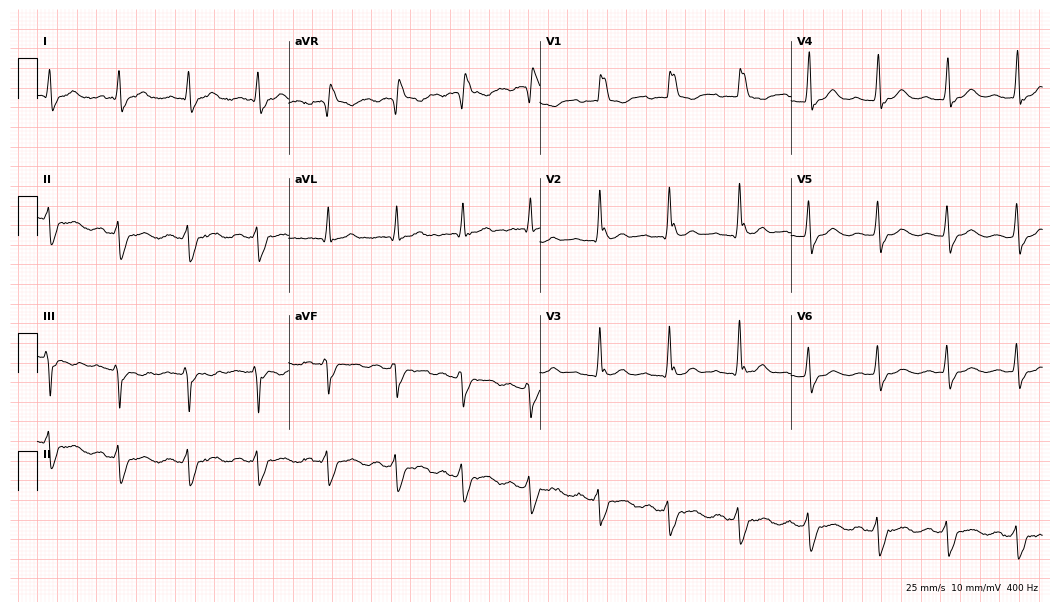
12-lead ECG from a female patient, 63 years old. No first-degree AV block, right bundle branch block, left bundle branch block, sinus bradycardia, atrial fibrillation or sinus tachycardia recorded for this tracing. Other findings, if any, are not listed.